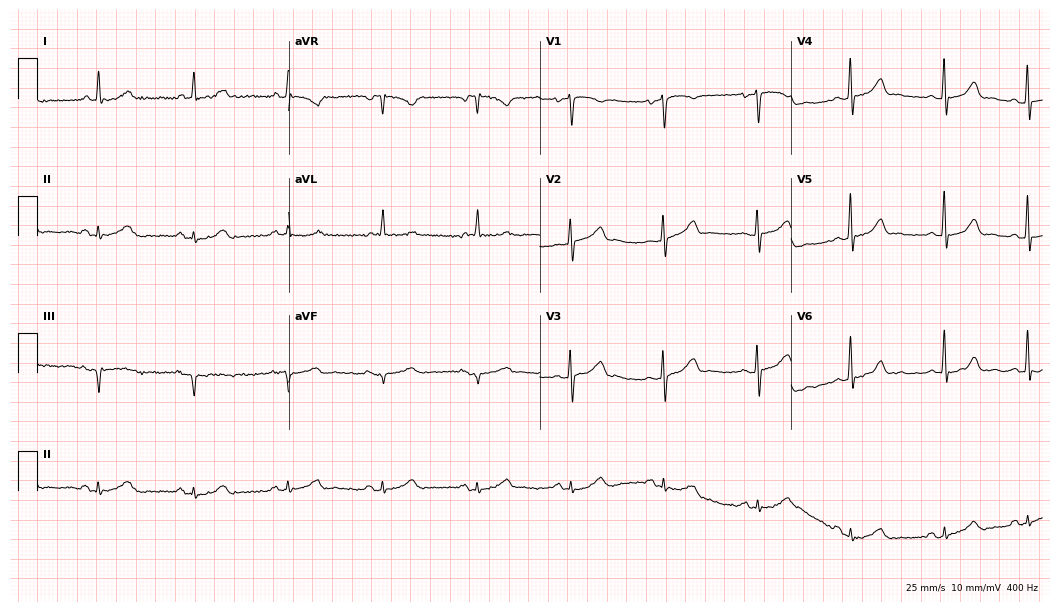
Standard 12-lead ECG recorded from a 65-year-old female patient. None of these six findings is recorded: first-degree AV block, right bundle branch block, left bundle branch block, sinus bradycardia, atrial fibrillation, sinus tachycardia.